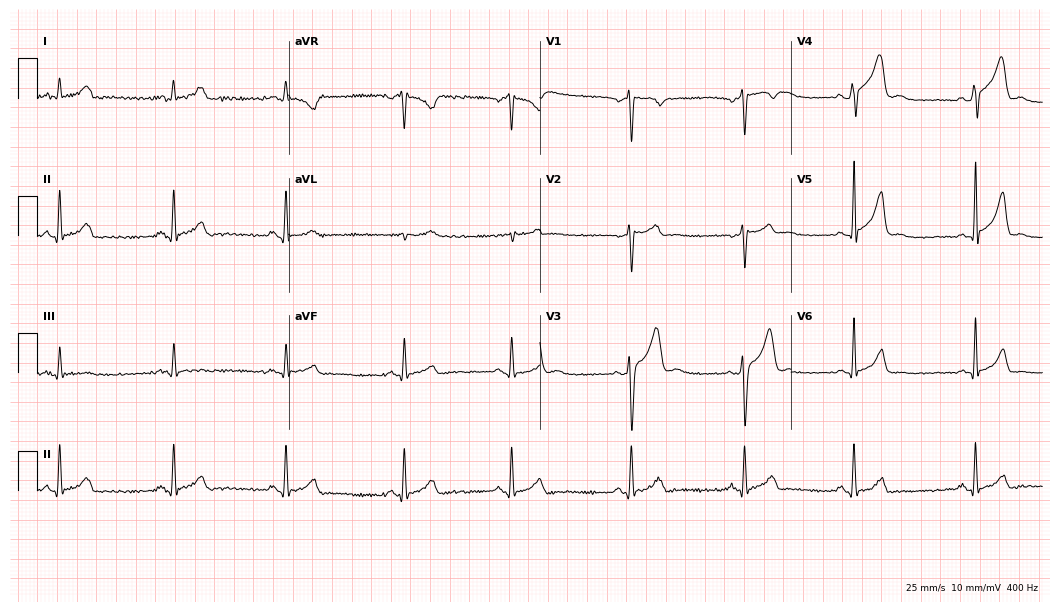
12-lead ECG (10.2-second recording at 400 Hz) from a male, 27 years old. Screened for six findings — first-degree AV block, right bundle branch block, left bundle branch block, sinus bradycardia, atrial fibrillation, sinus tachycardia — none is recorded.